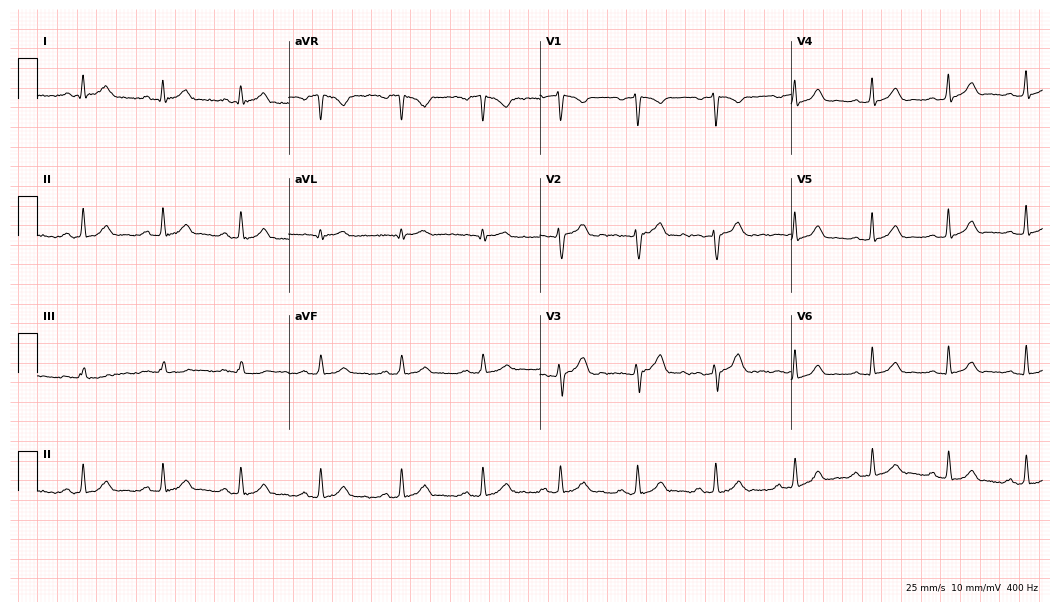
Standard 12-lead ECG recorded from a 31-year-old female patient. None of these six findings is recorded: first-degree AV block, right bundle branch block, left bundle branch block, sinus bradycardia, atrial fibrillation, sinus tachycardia. Only these six findings were labelled.